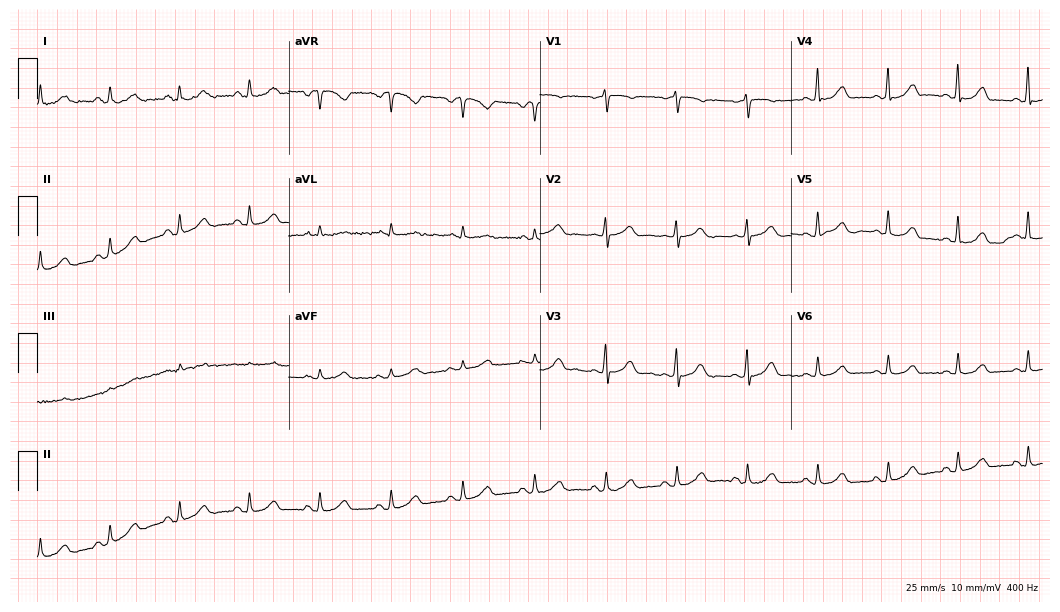
Resting 12-lead electrocardiogram. Patient: a woman, 62 years old. Read as a normal ECG.